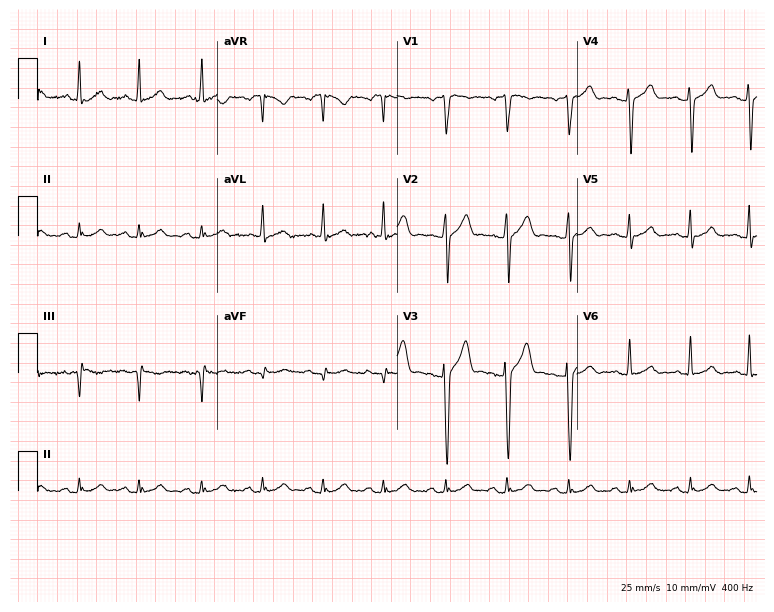
Resting 12-lead electrocardiogram. Patient: a male, 51 years old. None of these six findings is recorded: first-degree AV block, right bundle branch block, left bundle branch block, sinus bradycardia, atrial fibrillation, sinus tachycardia. Other findings, if any, are not listed.